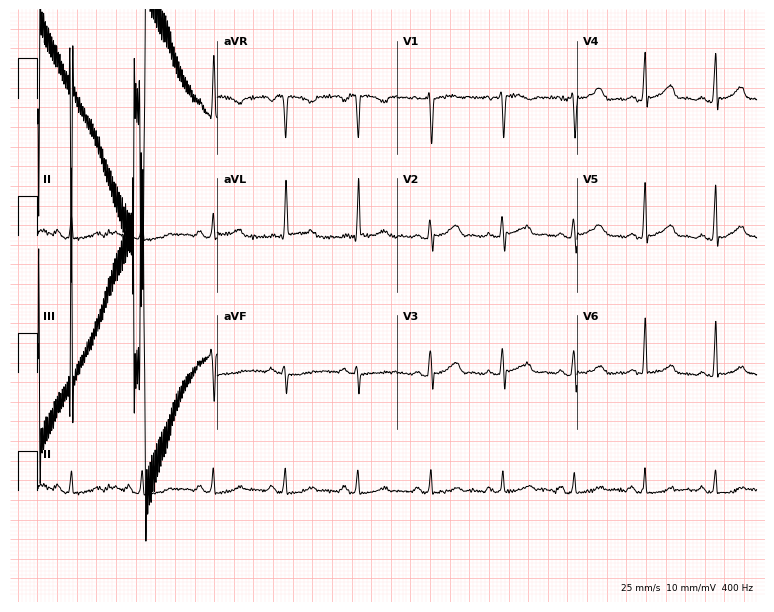
Resting 12-lead electrocardiogram. Patient: a 52-year-old female. Read as a normal ECG.